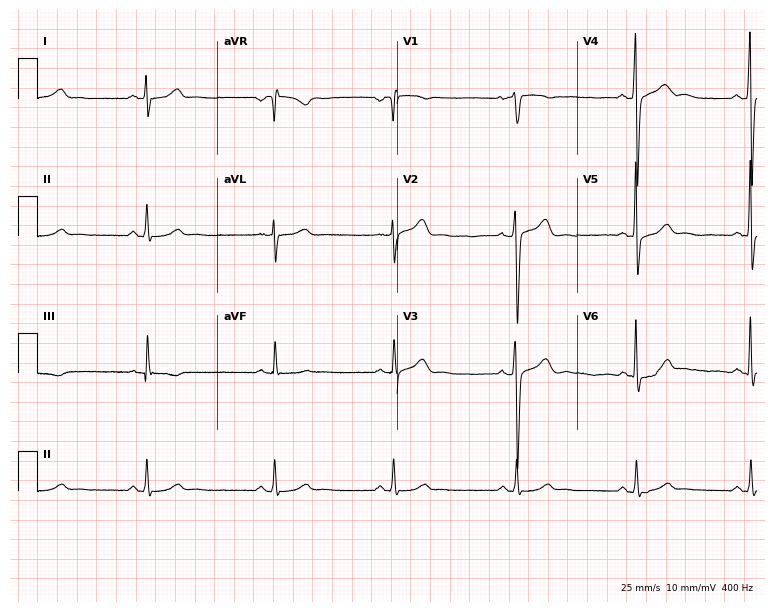
ECG (7.3-second recording at 400 Hz) — a 40-year-old man. Findings include sinus bradycardia (a sinus rate of 50 beats per minute or less).